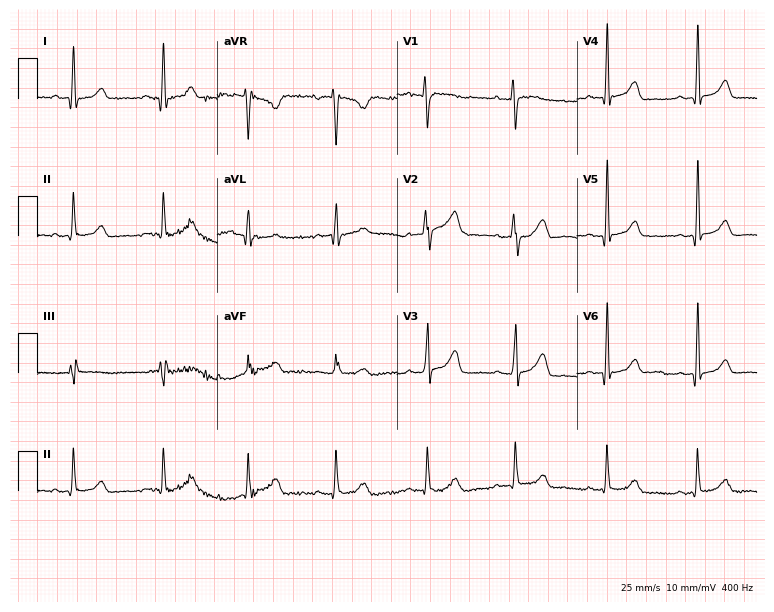
Standard 12-lead ECG recorded from a 44-year-old woman. Read as a normal ECG.